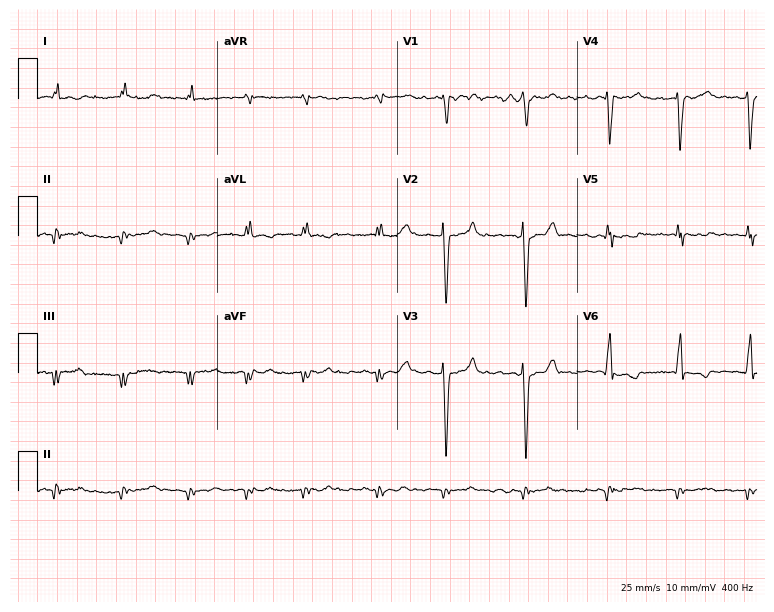
Electrocardiogram (7.3-second recording at 400 Hz), a 64-year-old male patient. Interpretation includes atrial fibrillation.